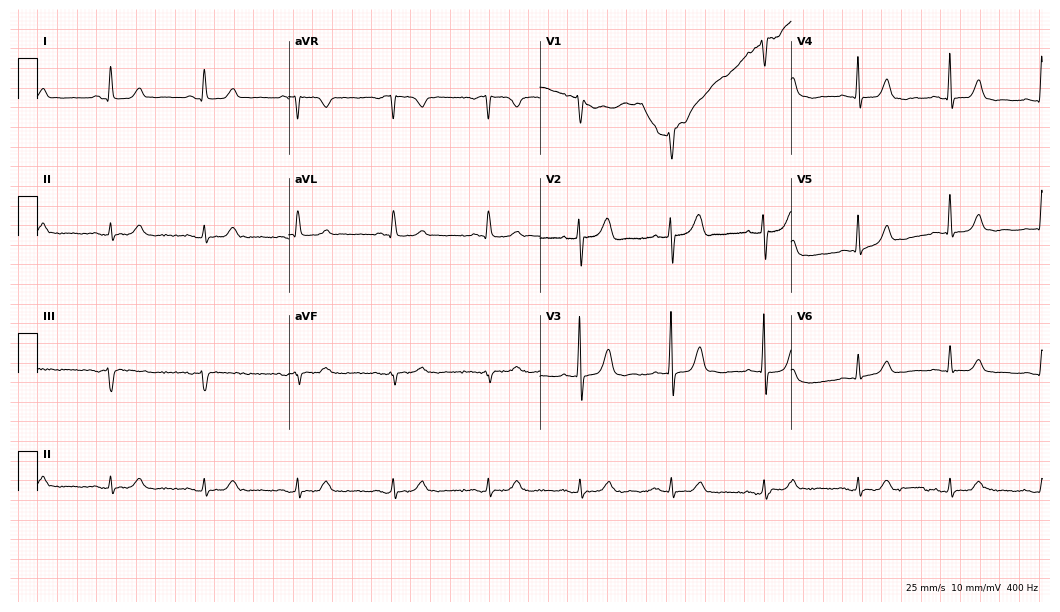
Resting 12-lead electrocardiogram. Patient: a 64-year-old female. None of these six findings is recorded: first-degree AV block, right bundle branch block, left bundle branch block, sinus bradycardia, atrial fibrillation, sinus tachycardia.